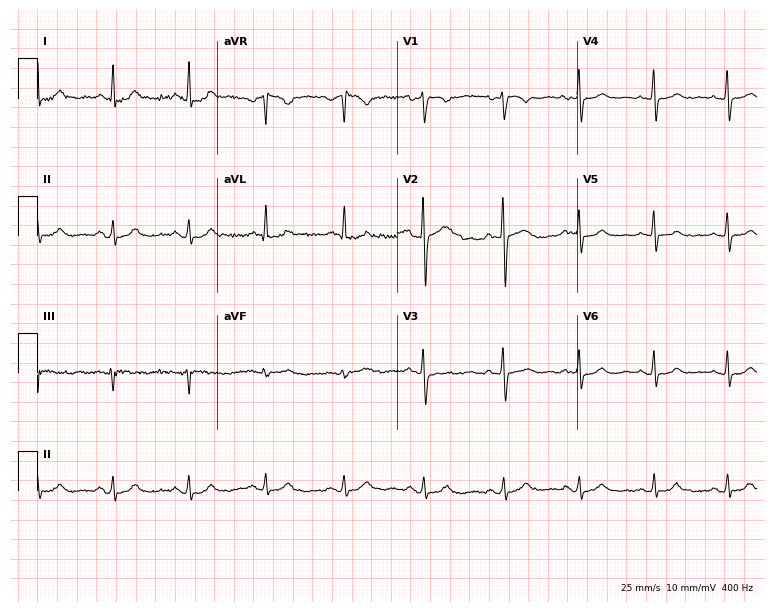
ECG (7.3-second recording at 400 Hz) — a female patient, 48 years old. Screened for six findings — first-degree AV block, right bundle branch block, left bundle branch block, sinus bradycardia, atrial fibrillation, sinus tachycardia — none is recorded. Findings outside these six are not listed.